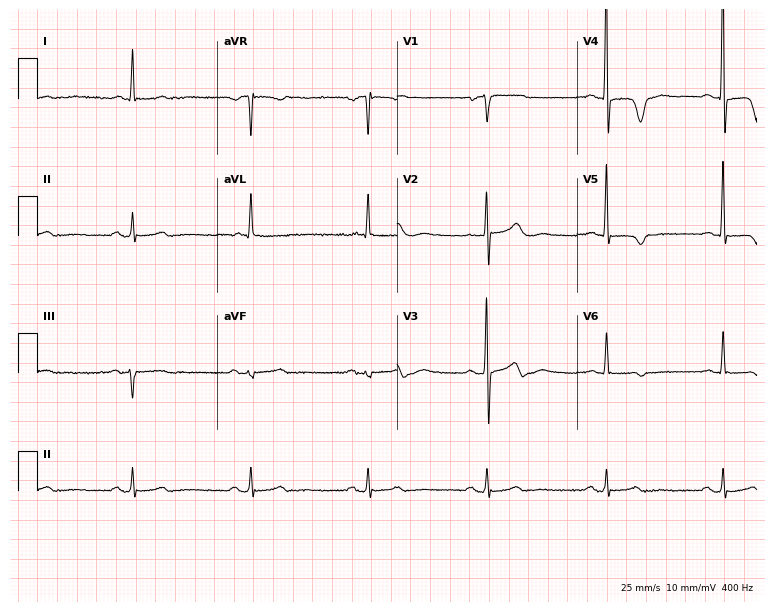
Resting 12-lead electrocardiogram (7.3-second recording at 400 Hz). Patient: a woman, 83 years old. The tracing shows sinus bradycardia (a sinus rate of 50 beats per minute or less).